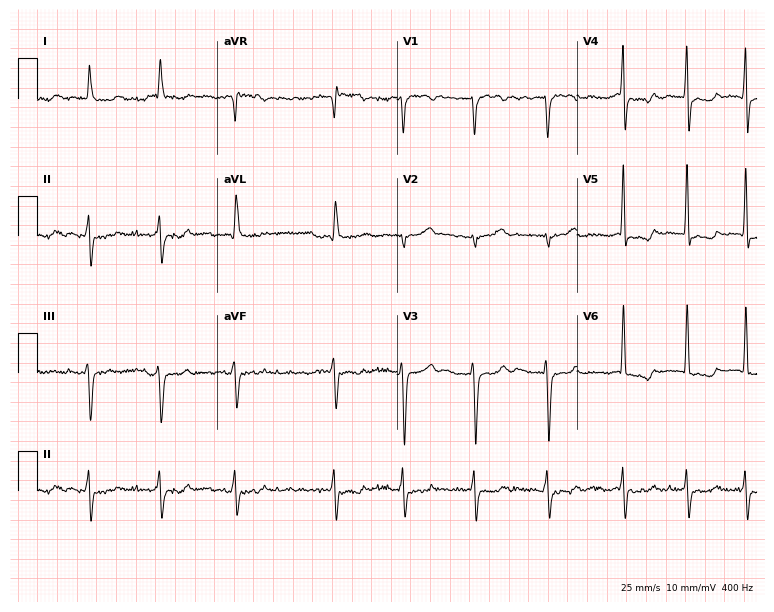
12-lead ECG from an 84-year-old man. Findings include atrial fibrillation.